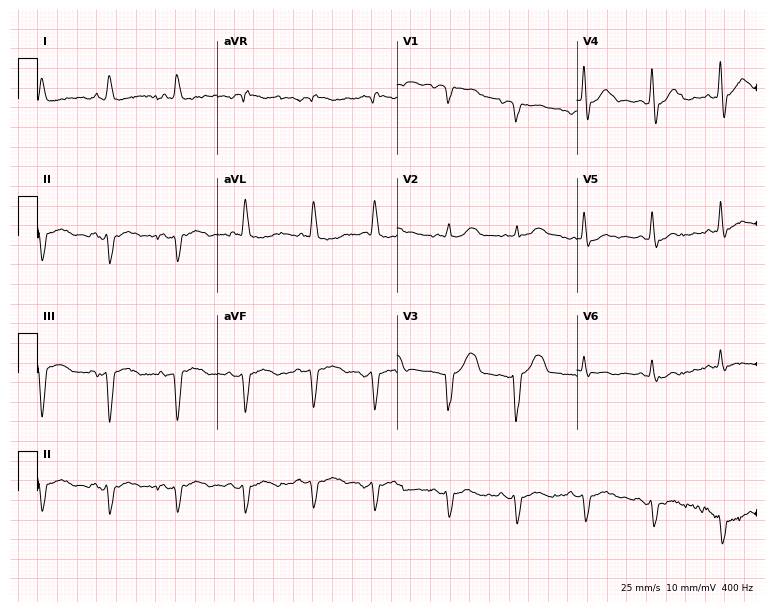
Standard 12-lead ECG recorded from a male, 84 years old. None of these six findings is recorded: first-degree AV block, right bundle branch block (RBBB), left bundle branch block (LBBB), sinus bradycardia, atrial fibrillation (AF), sinus tachycardia.